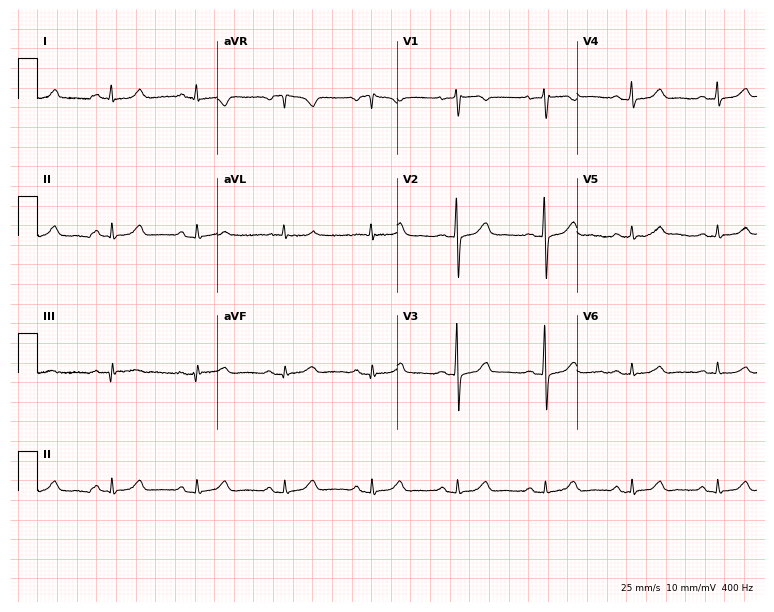
12-lead ECG from a female, 59 years old (7.3-second recording at 400 Hz). No first-degree AV block, right bundle branch block (RBBB), left bundle branch block (LBBB), sinus bradycardia, atrial fibrillation (AF) or sinus tachycardia recorded for this tracing. Other findings, if any, are not listed.